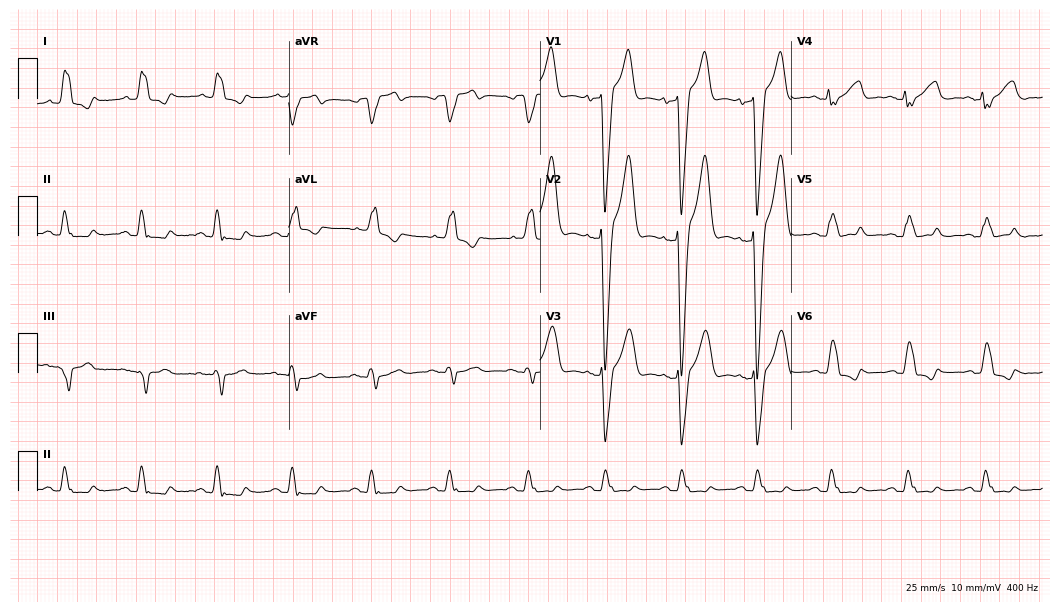
12-lead ECG from a 59-year-old male. Screened for six findings — first-degree AV block, right bundle branch block, left bundle branch block, sinus bradycardia, atrial fibrillation, sinus tachycardia — none is recorded. Findings outside these six are not listed.